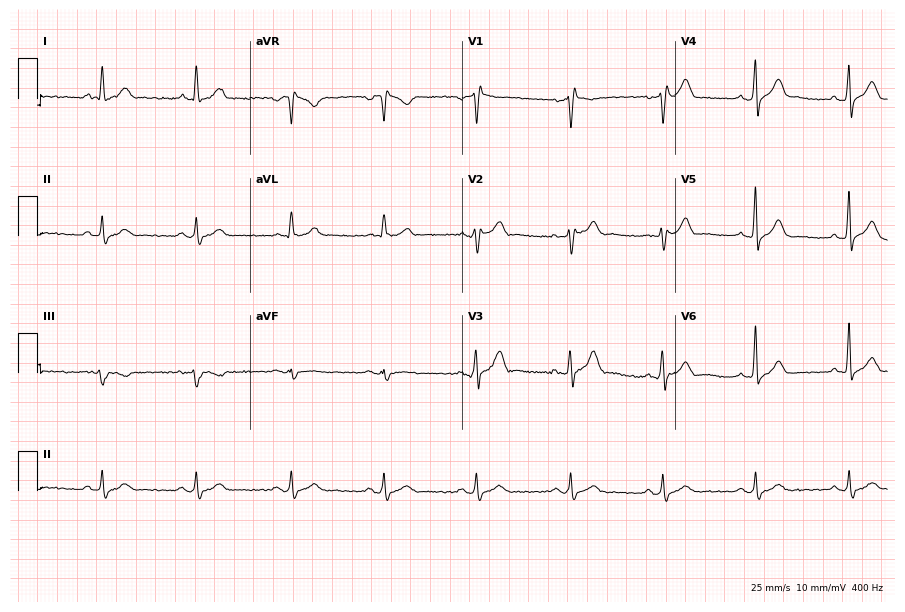
Electrocardiogram (8.7-second recording at 400 Hz), a male patient, 55 years old. Of the six screened findings (first-degree AV block, right bundle branch block, left bundle branch block, sinus bradycardia, atrial fibrillation, sinus tachycardia), none is recorded.